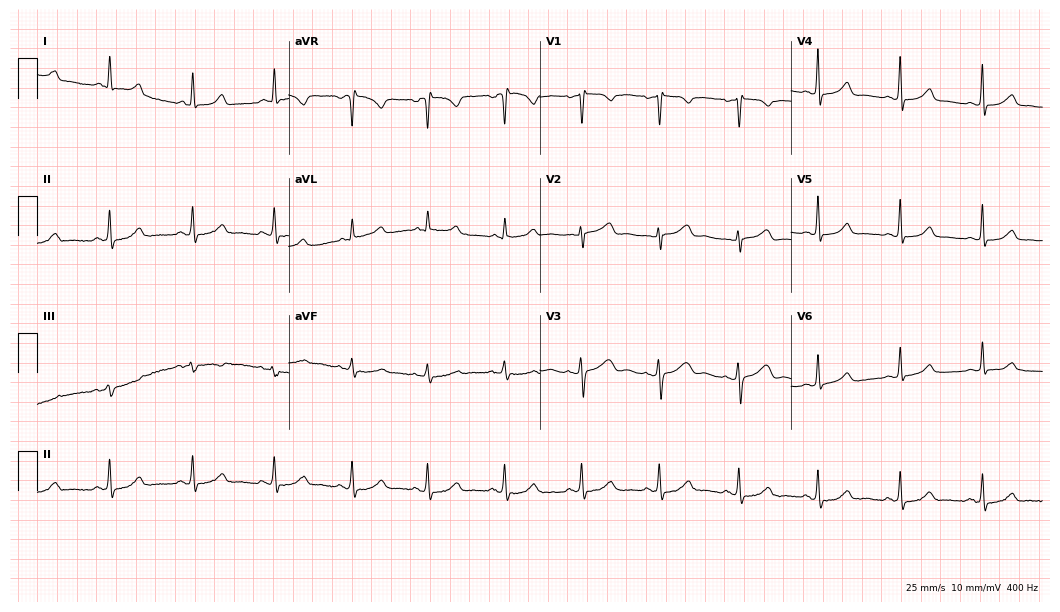
12-lead ECG (10.2-second recording at 400 Hz) from a 50-year-old female patient. Labelled as a normal ECG.